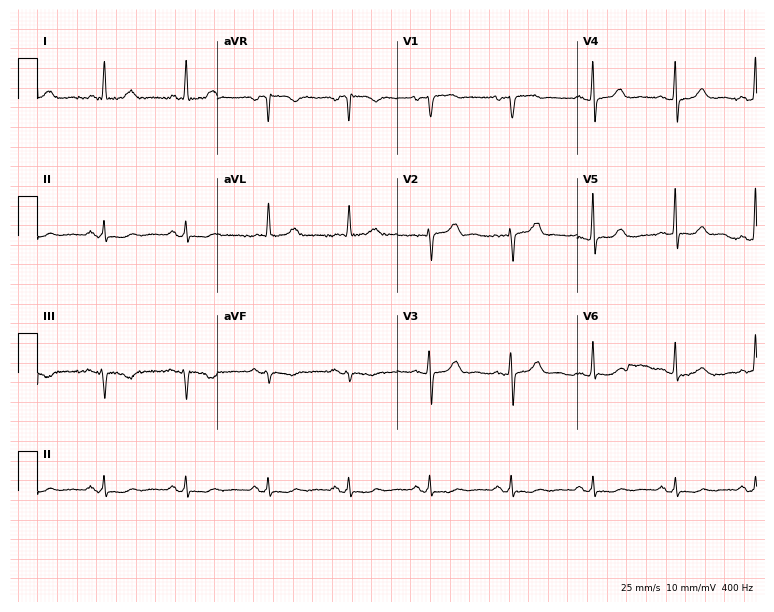
12-lead ECG from a female, 70 years old. No first-degree AV block, right bundle branch block, left bundle branch block, sinus bradycardia, atrial fibrillation or sinus tachycardia recorded for this tracing.